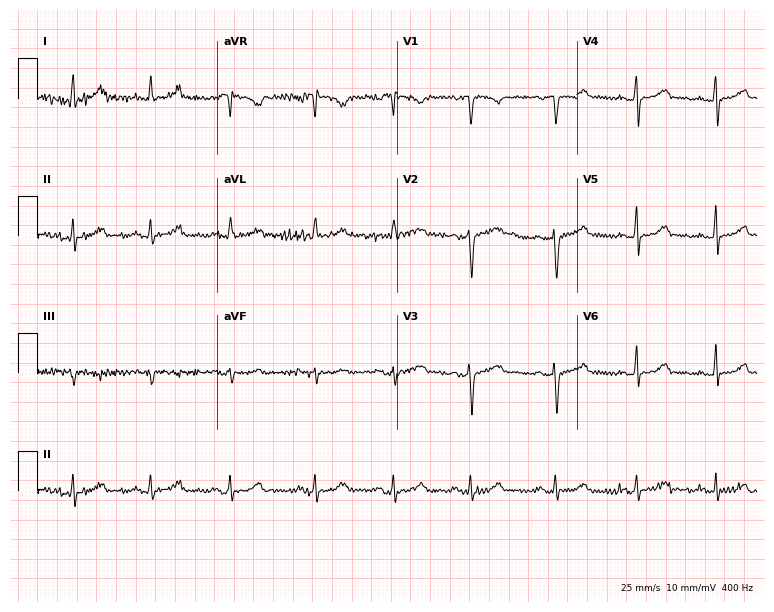
ECG (7.3-second recording at 400 Hz) — a female patient, 29 years old. Labelled as a normal ECG.